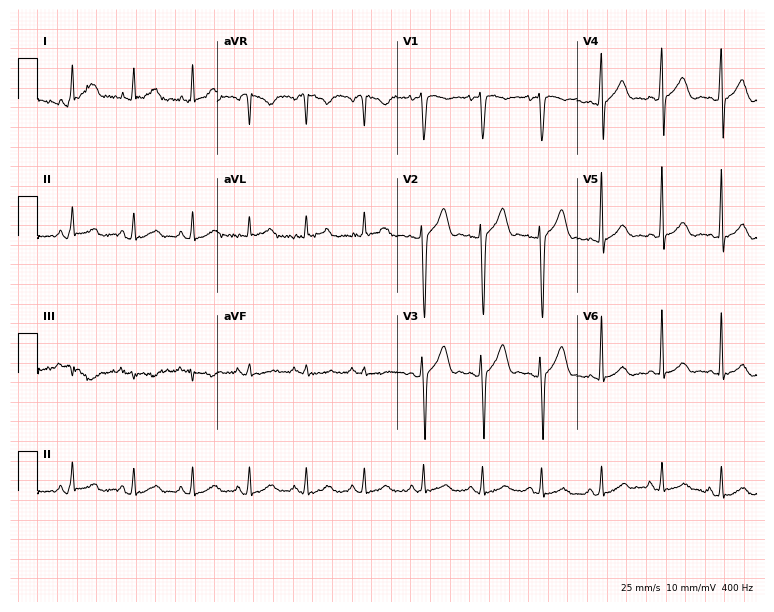
Resting 12-lead electrocardiogram. Patient: a 37-year-old male. None of these six findings is recorded: first-degree AV block, right bundle branch block, left bundle branch block, sinus bradycardia, atrial fibrillation, sinus tachycardia.